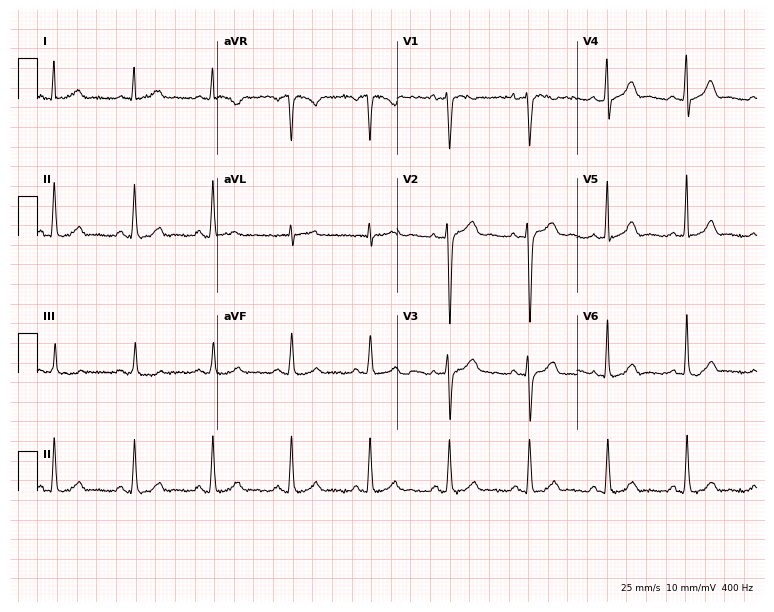
Resting 12-lead electrocardiogram (7.3-second recording at 400 Hz). Patient: a female, 39 years old. Read as a normal ECG.